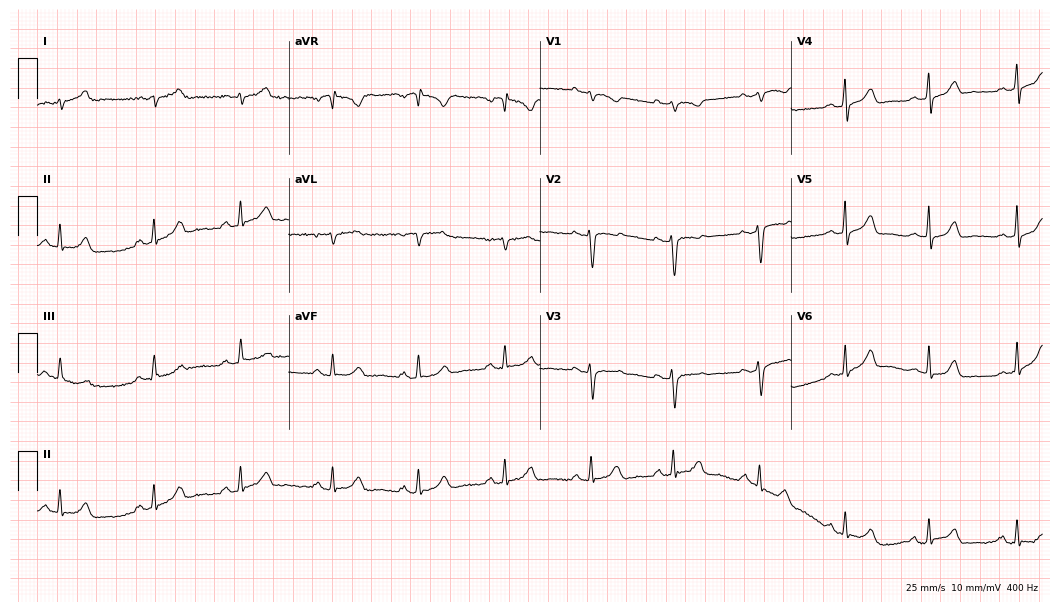
ECG — a female patient, 30 years old. Screened for six findings — first-degree AV block, right bundle branch block (RBBB), left bundle branch block (LBBB), sinus bradycardia, atrial fibrillation (AF), sinus tachycardia — none is recorded. Findings outside these six are not listed.